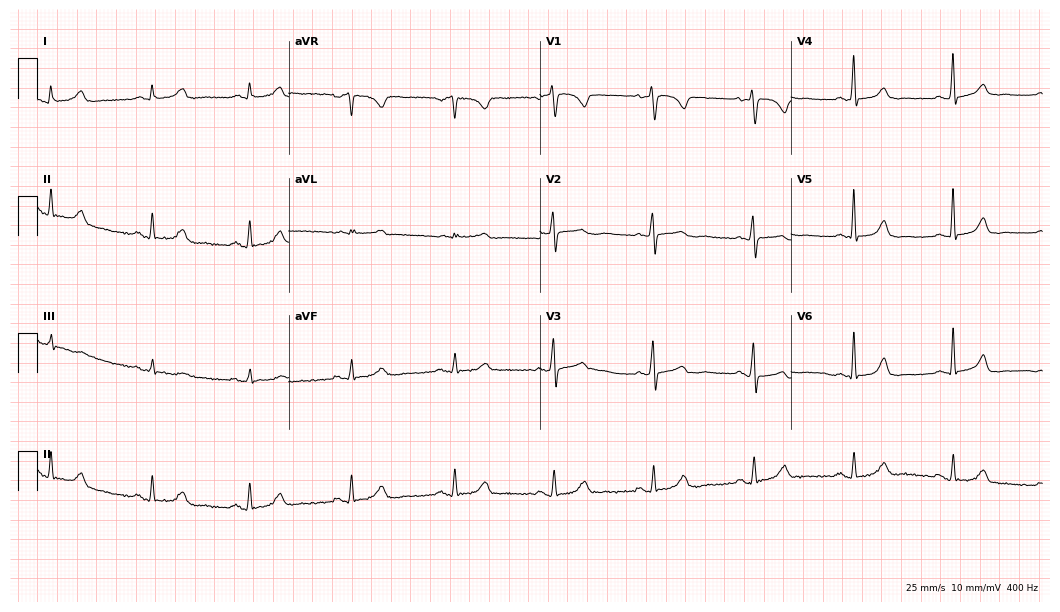
Standard 12-lead ECG recorded from a female, 49 years old (10.2-second recording at 400 Hz). Read as a normal ECG.